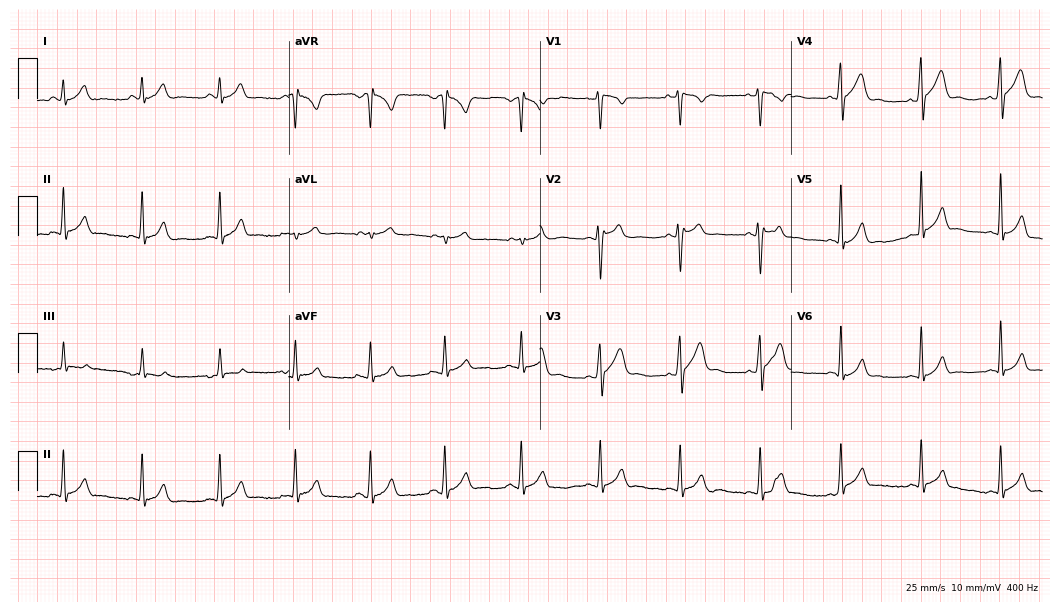
12-lead ECG from a male, 23 years old. Labelled as a normal ECG.